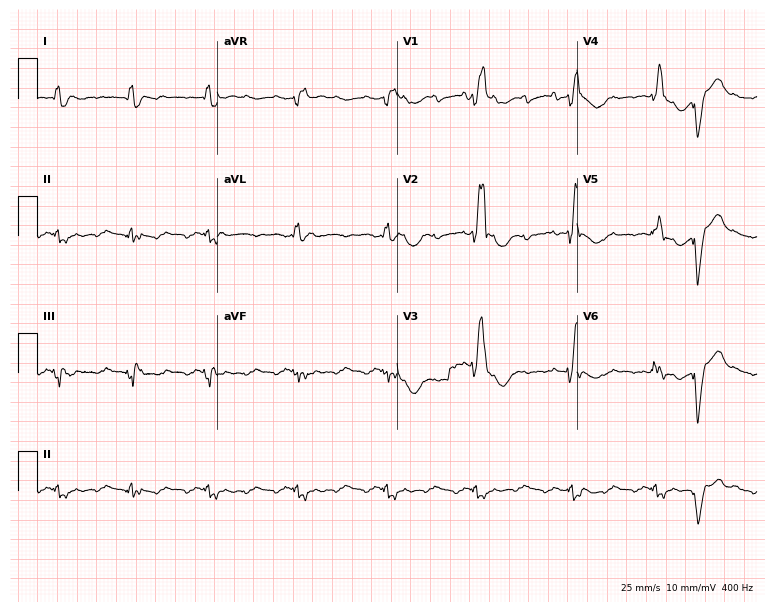
Standard 12-lead ECG recorded from a male patient, 65 years old. The tracing shows right bundle branch block.